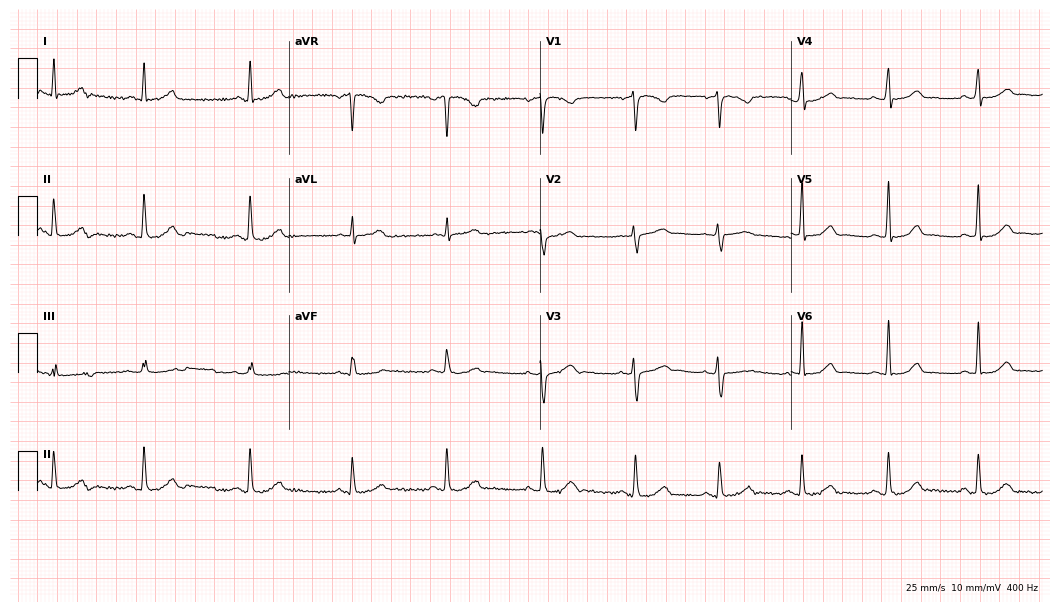
Electrocardiogram, a 43-year-old female. Of the six screened findings (first-degree AV block, right bundle branch block (RBBB), left bundle branch block (LBBB), sinus bradycardia, atrial fibrillation (AF), sinus tachycardia), none is recorded.